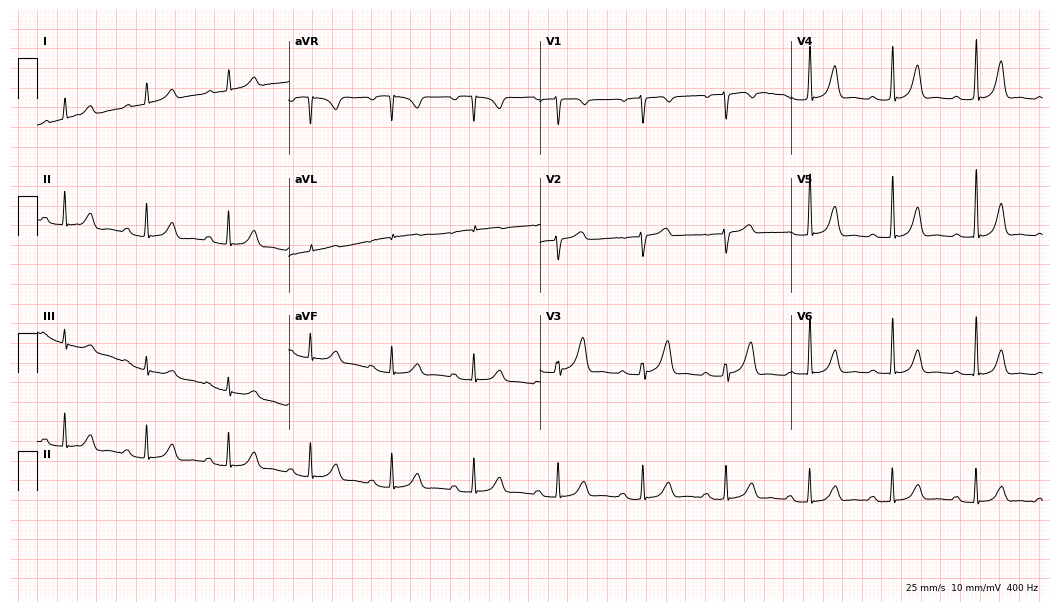
Electrocardiogram (10.2-second recording at 400 Hz), a 67-year-old female patient. Interpretation includes first-degree AV block.